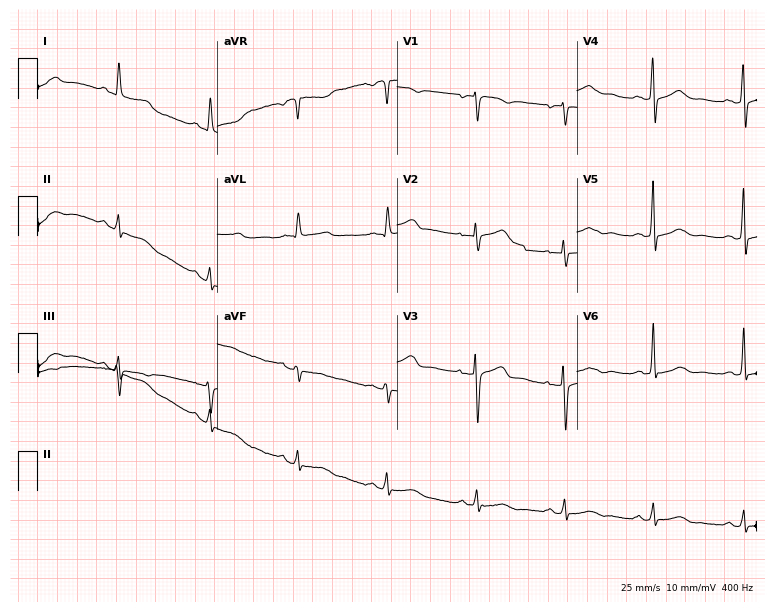
Standard 12-lead ECG recorded from a 63-year-old woman. None of these six findings is recorded: first-degree AV block, right bundle branch block (RBBB), left bundle branch block (LBBB), sinus bradycardia, atrial fibrillation (AF), sinus tachycardia. Only these six findings were labelled.